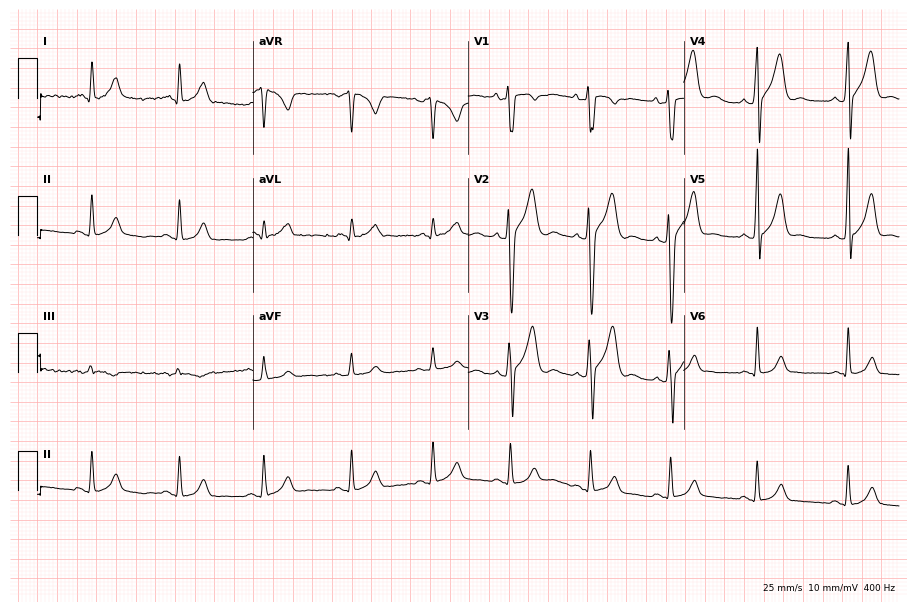
ECG (8.8-second recording at 400 Hz) — a 22-year-old male. Labelled as a normal ECG.